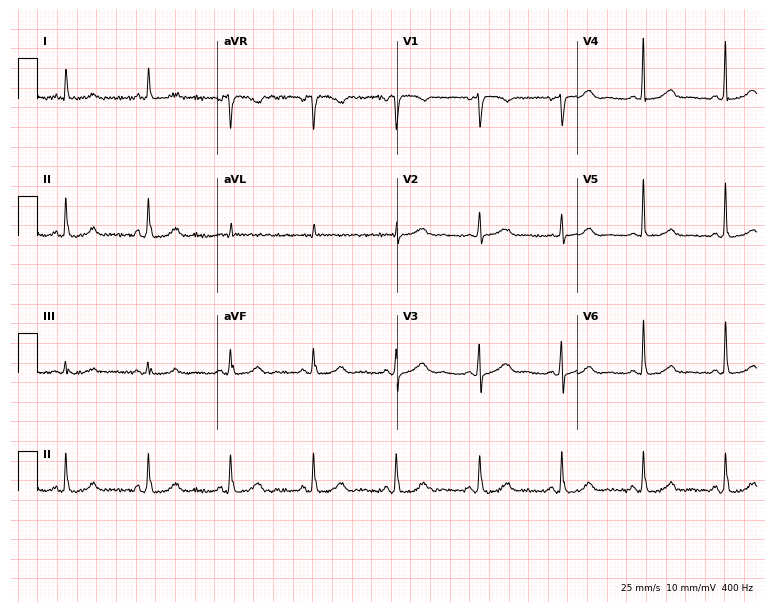
12-lead ECG from a female, 68 years old (7.3-second recording at 400 Hz). Recorded interpretation: within normal limits.